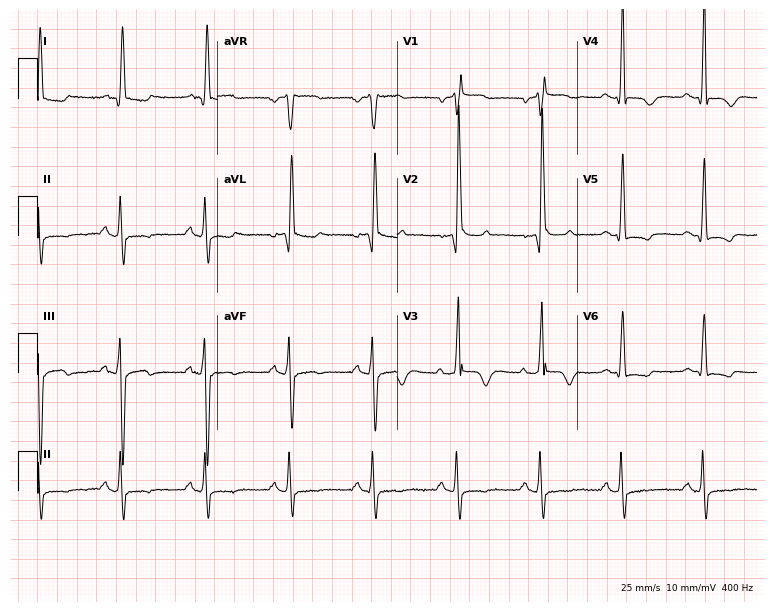
Resting 12-lead electrocardiogram (7.3-second recording at 400 Hz). Patient: a female, 80 years old. The tracing shows right bundle branch block.